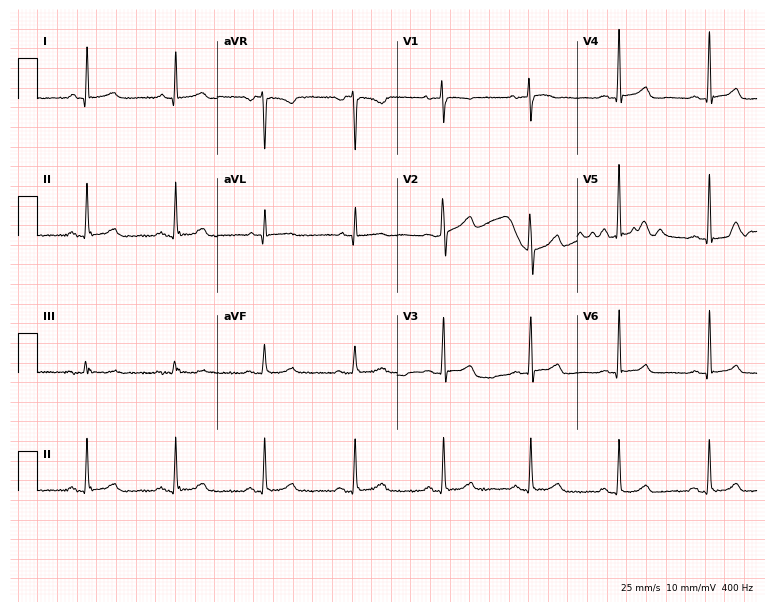
12-lead ECG from a female patient, 46 years old. Labelled as a normal ECG.